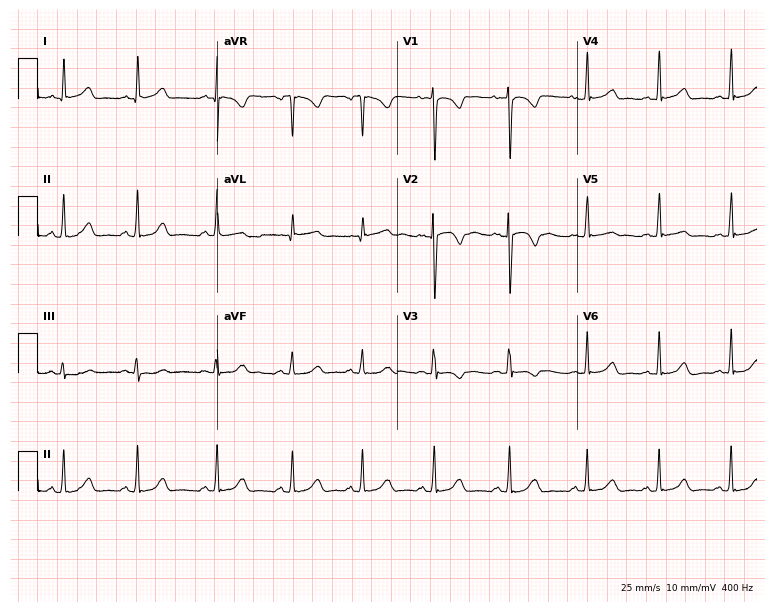
12-lead ECG from a 17-year-old female patient. Screened for six findings — first-degree AV block, right bundle branch block, left bundle branch block, sinus bradycardia, atrial fibrillation, sinus tachycardia — none is recorded.